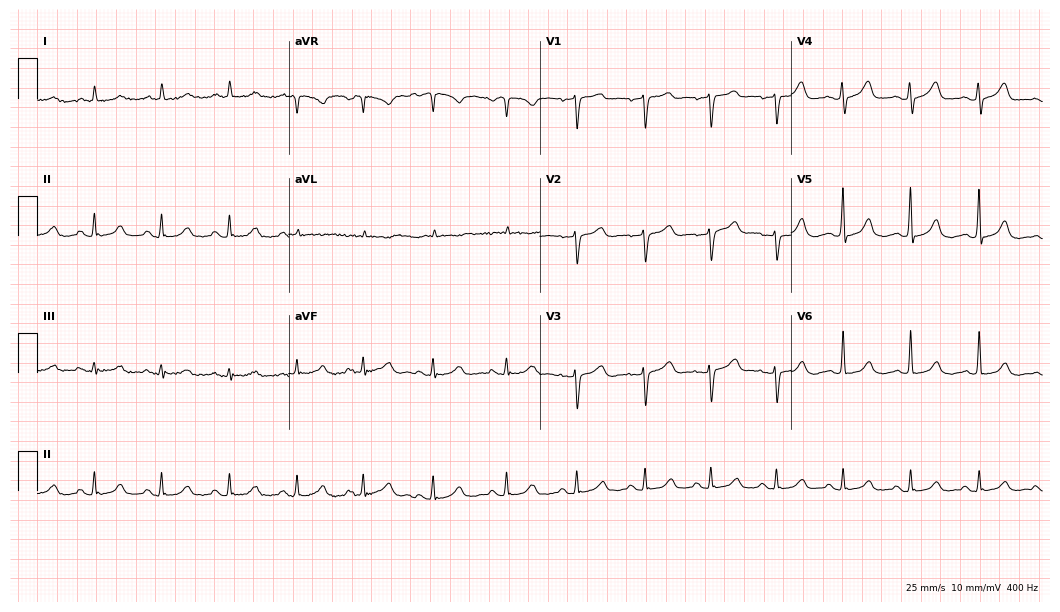
Resting 12-lead electrocardiogram (10.2-second recording at 400 Hz). Patient: a male, 65 years old. Read as a normal ECG.